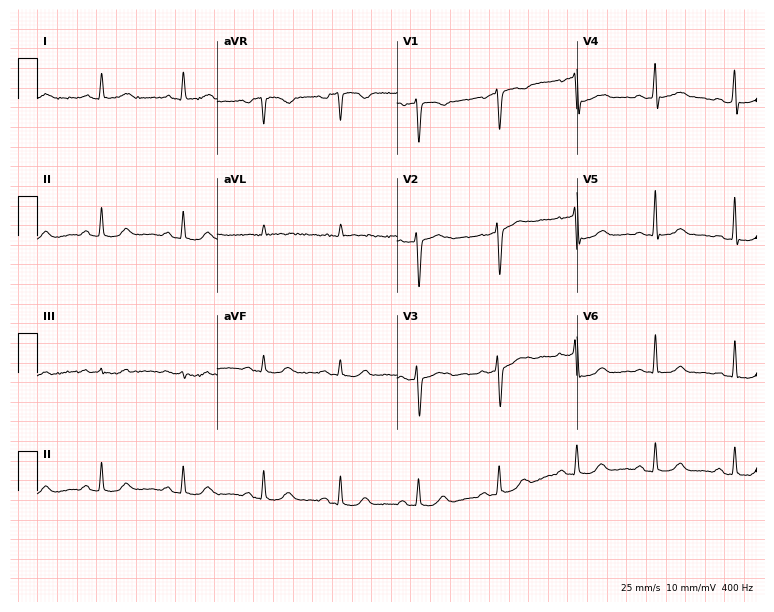
Standard 12-lead ECG recorded from a female, 69 years old (7.3-second recording at 400 Hz). None of these six findings is recorded: first-degree AV block, right bundle branch block, left bundle branch block, sinus bradycardia, atrial fibrillation, sinus tachycardia. Findings outside these six are not listed.